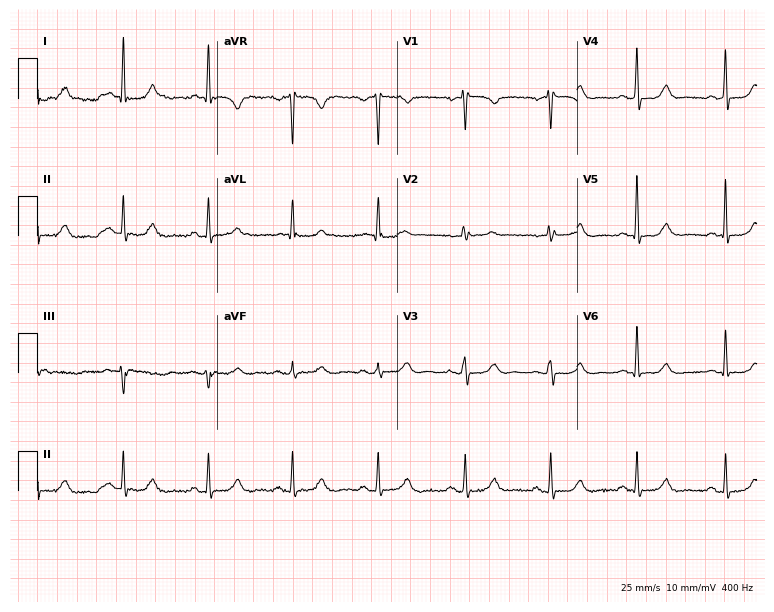
Standard 12-lead ECG recorded from a female, 76 years old. Read as a normal ECG.